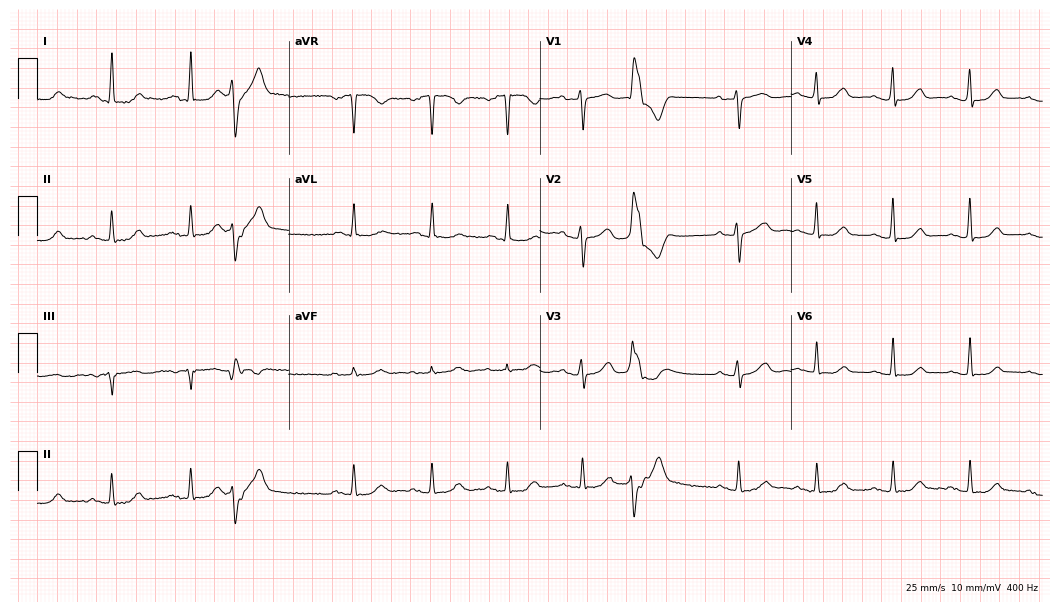
ECG — a 68-year-old female patient. Screened for six findings — first-degree AV block, right bundle branch block (RBBB), left bundle branch block (LBBB), sinus bradycardia, atrial fibrillation (AF), sinus tachycardia — none is recorded.